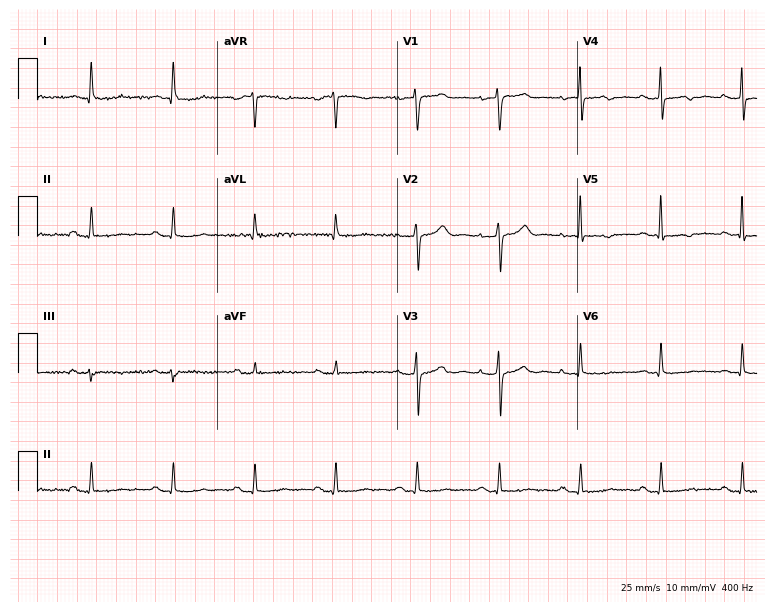
Electrocardiogram, a woman, 74 years old. Of the six screened findings (first-degree AV block, right bundle branch block, left bundle branch block, sinus bradycardia, atrial fibrillation, sinus tachycardia), none is recorded. Only these six findings were labelled.